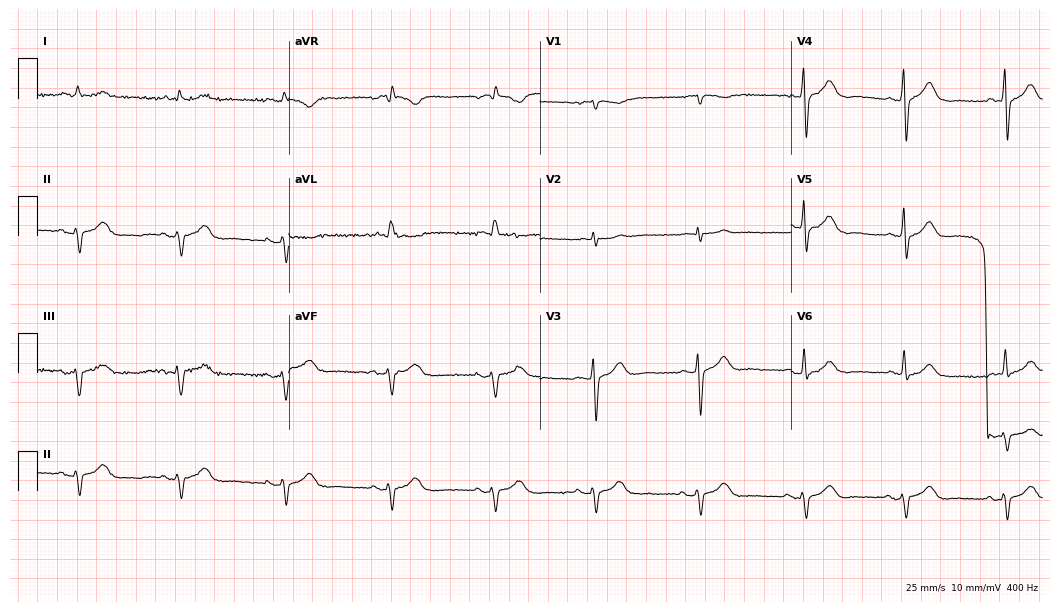
Resting 12-lead electrocardiogram (10.2-second recording at 400 Hz). Patient: a 76-year-old male. None of these six findings is recorded: first-degree AV block, right bundle branch block, left bundle branch block, sinus bradycardia, atrial fibrillation, sinus tachycardia.